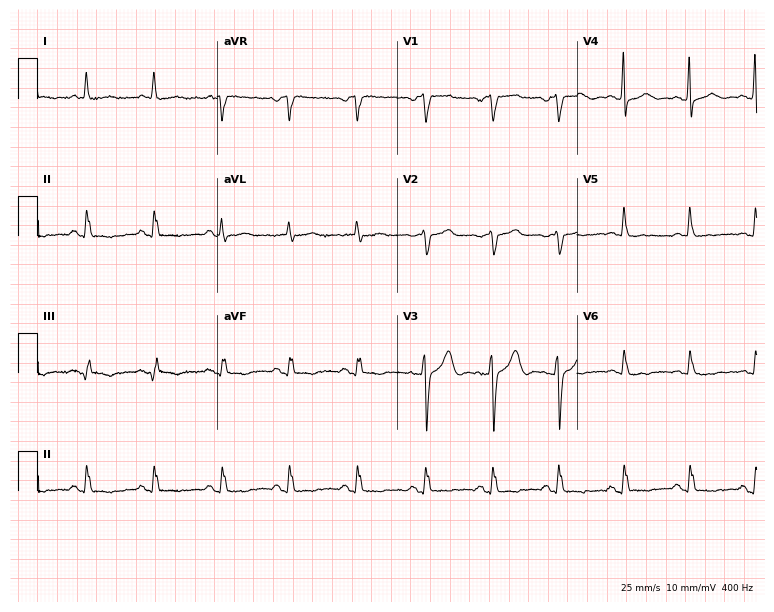
12-lead ECG from a 75-year-old female patient. Screened for six findings — first-degree AV block, right bundle branch block, left bundle branch block, sinus bradycardia, atrial fibrillation, sinus tachycardia — none is recorded.